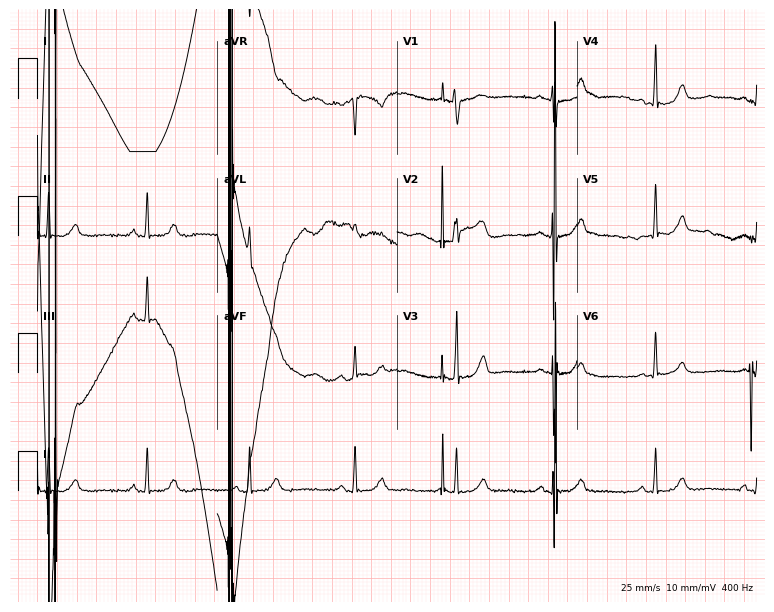
Resting 12-lead electrocardiogram. Patient: a female, 36 years old. None of these six findings is recorded: first-degree AV block, right bundle branch block (RBBB), left bundle branch block (LBBB), sinus bradycardia, atrial fibrillation (AF), sinus tachycardia. Other findings, if any, are not listed.